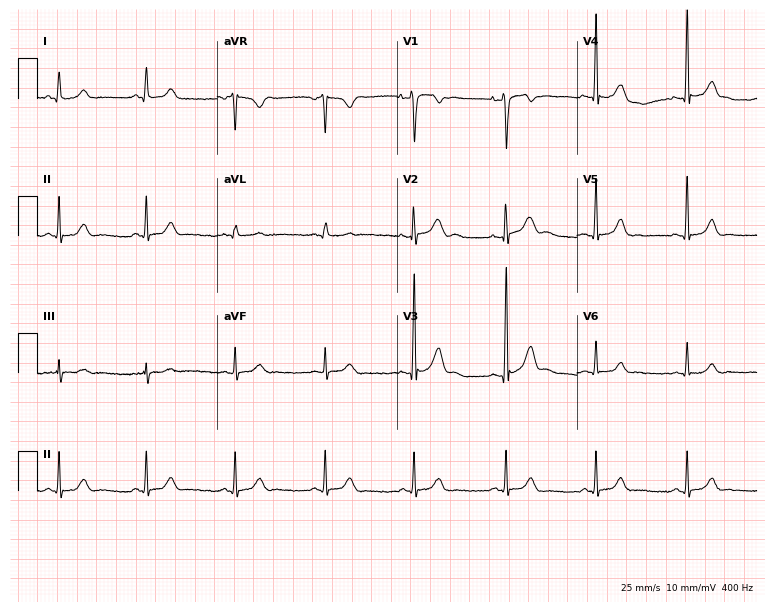
Standard 12-lead ECG recorded from a female, 33 years old (7.3-second recording at 400 Hz). None of these six findings is recorded: first-degree AV block, right bundle branch block, left bundle branch block, sinus bradycardia, atrial fibrillation, sinus tachycardia.